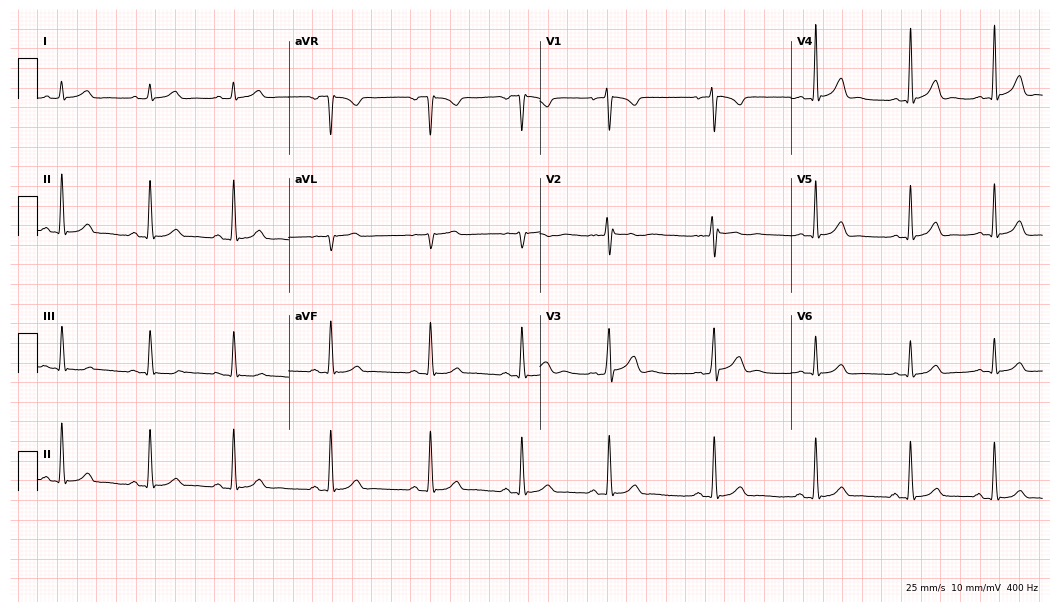
Standard 12-lead ECG recorded from a 24-year-old male (10.2-second recording at 400 Hz). Read as a normal ECG.